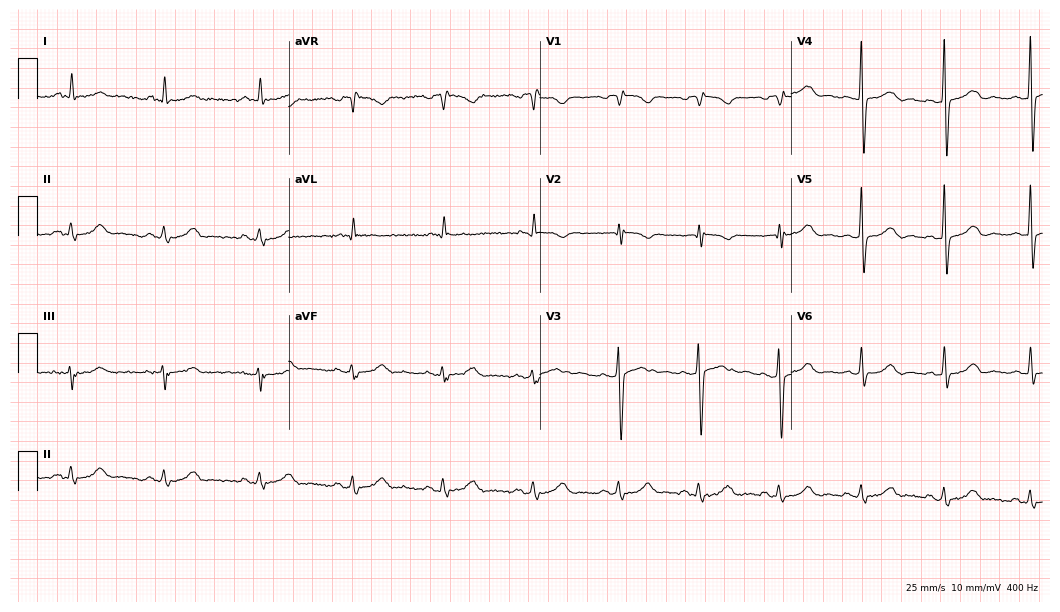
12-lead ECG from a male patient, 76 years old. Recorded interpretation: within normal limits.